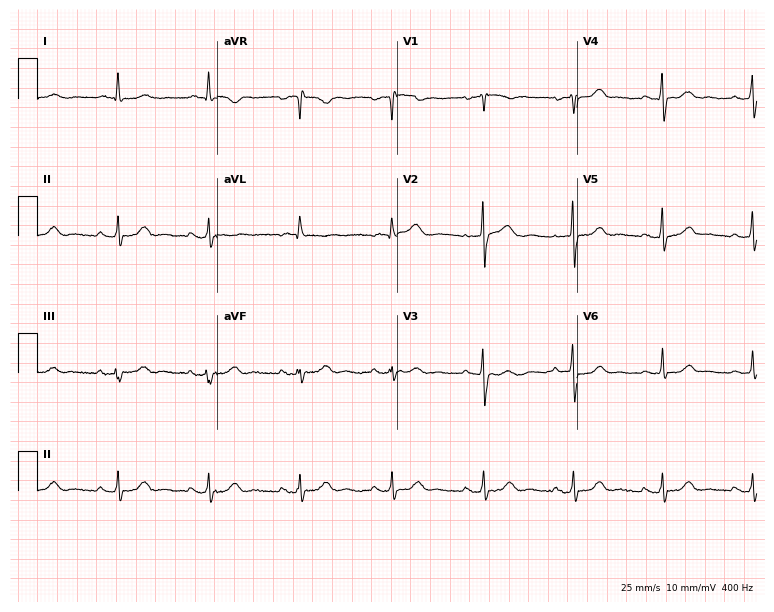
12-lead ECG (7.3-second recording at 400 Hz) from a 74-year-old female. Labelled as a normal ECG.